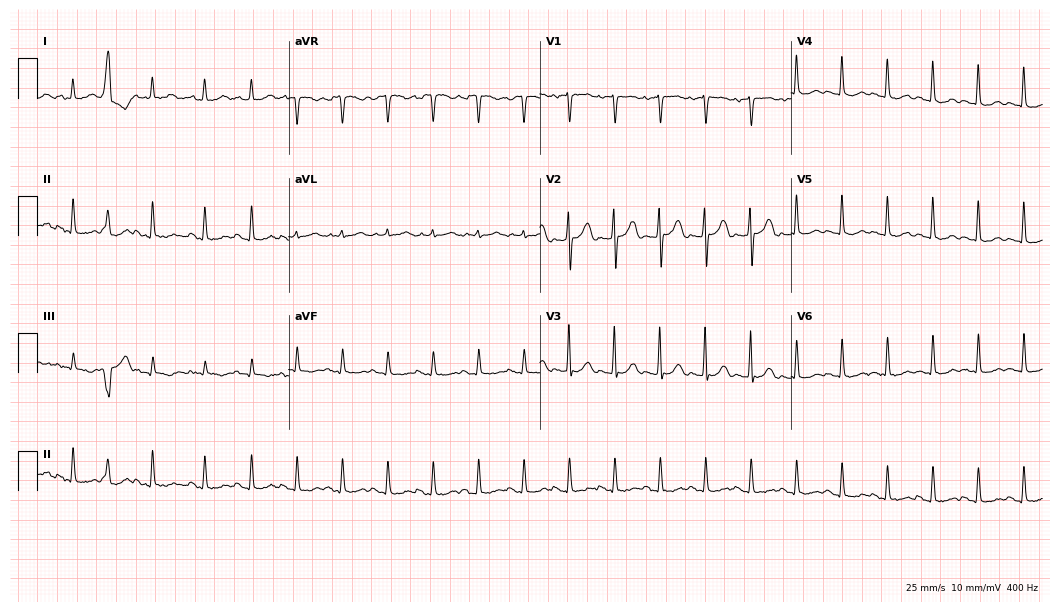
12-lead ECG (10.2-second recording at 400 Hz) from an 84-year-old female patient. Findings include sinus tachycardia (a sinus rate of 100 beats per minute or more).